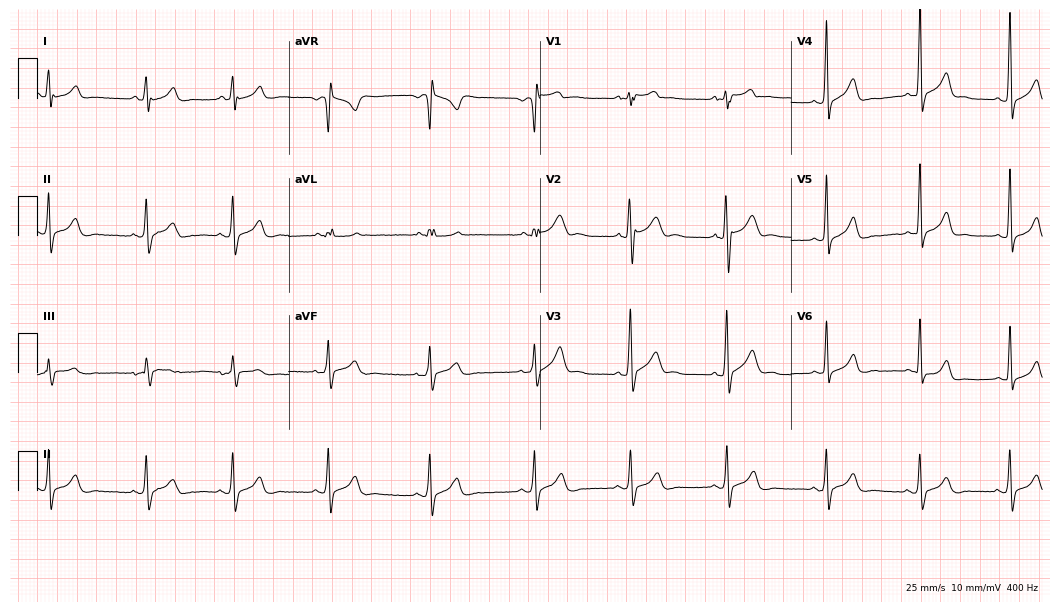
Standard 12-lead ECG recorded from a man, 20 years old (10.2-second recording at 400 Hz). None of these six findings is recorded: first-degree AV block, right bundle branch block, left bundle branch block, sinus bradycardia, atrial fibrillation, sinus tachycardia. Only these six findings were labelled.